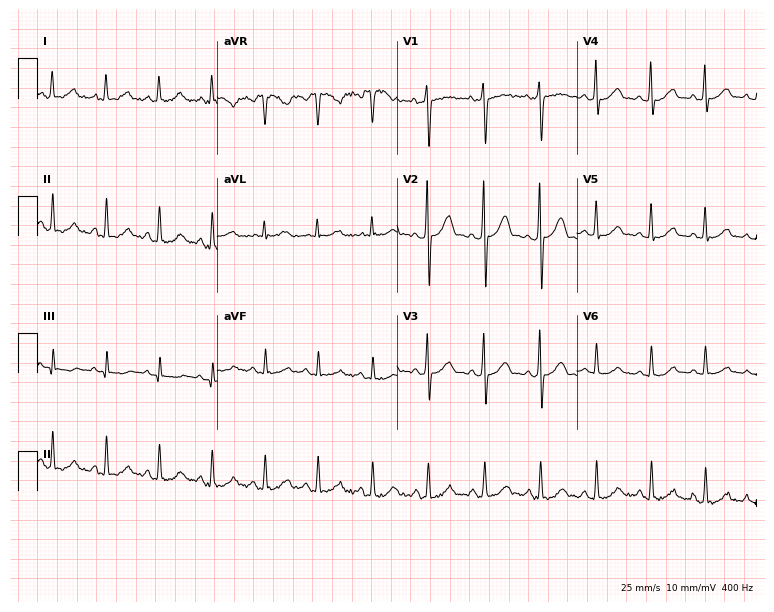
ECG — a 30-year-old woman. Findings include sinus tachycardia (a sinus rate of 100 beats per minute or more).